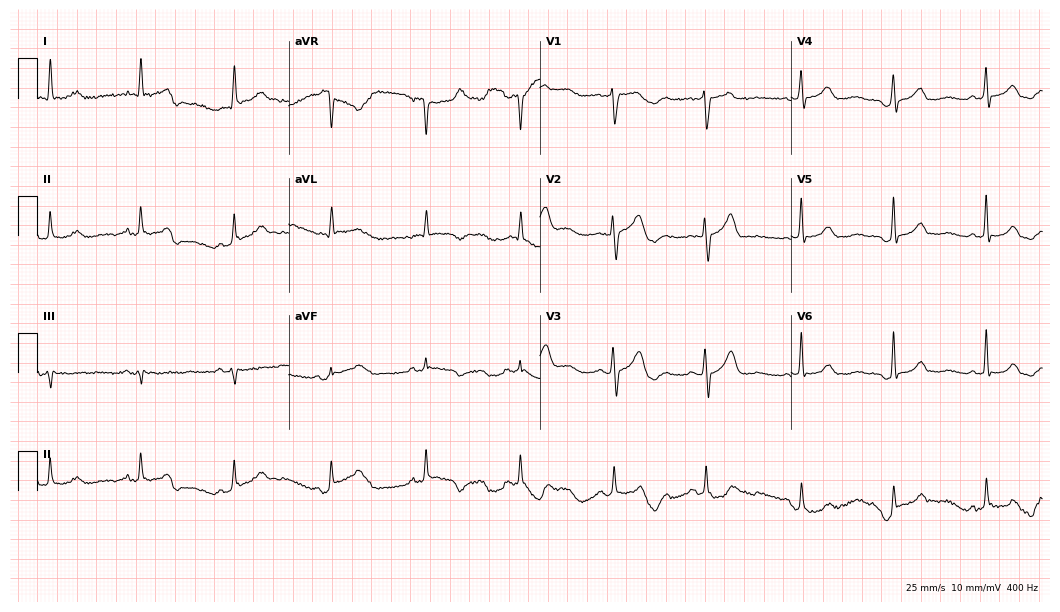
12-lead ECG (10.2-second recording at 400 Hz) from an 81-year-old female. Screened for six findings — first-degree AV block, right bundle branch block, left bundle branch block, sinus bradycardia, atrial fibrillation, sinus tachycardia — none is recorded. Other findings, if any, are not listed.